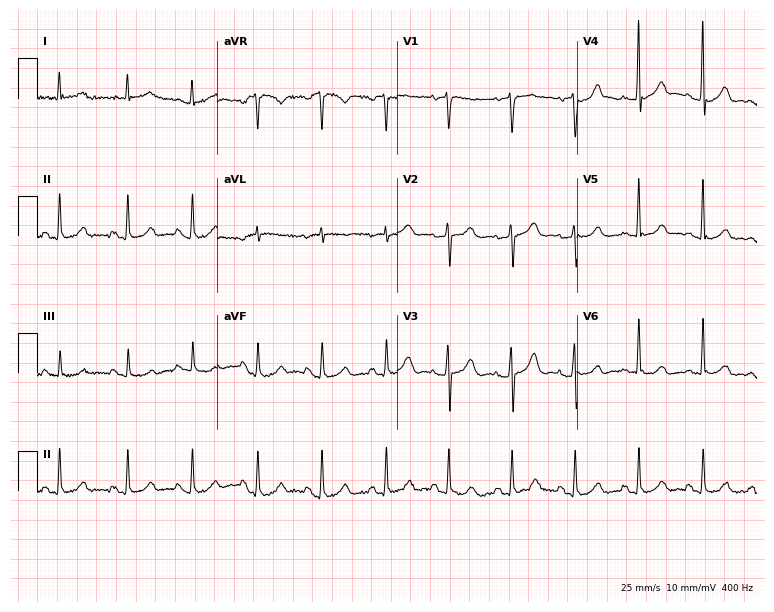
ECG — an 81-year-old female patient. Labelled as a normal ECG.